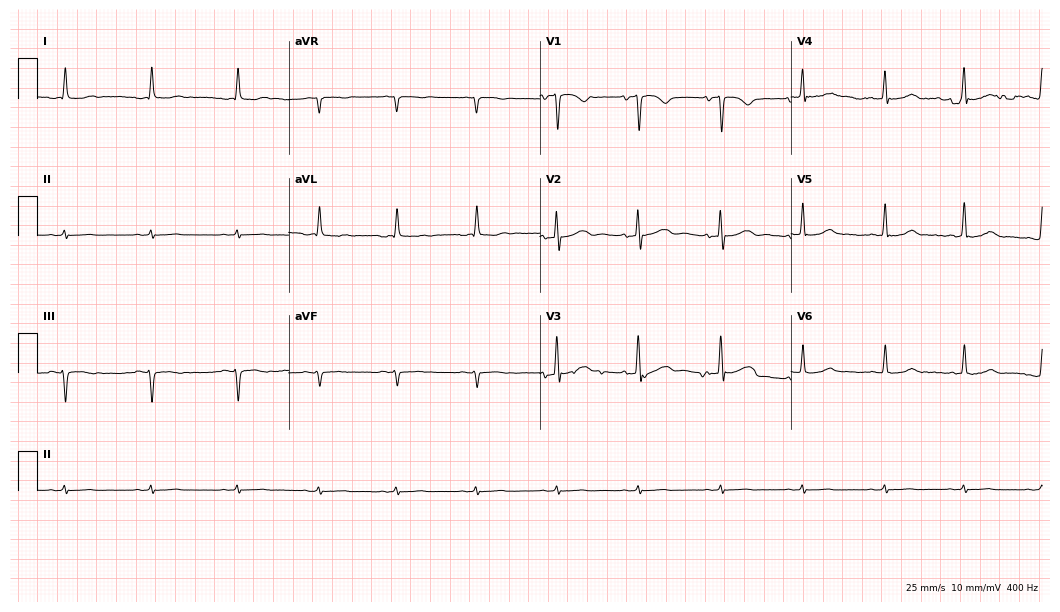
Standard 12-lead ECG recorded from a woman, 53 years old (10.2-second recording at 400 Hz). None of these six findings is recorded: first-degree AV block, right bundle branch block, left bundle branch block, sinus bradycardia, atrial fibrillation, sinus tachycardia. Only these six findings were labelled.